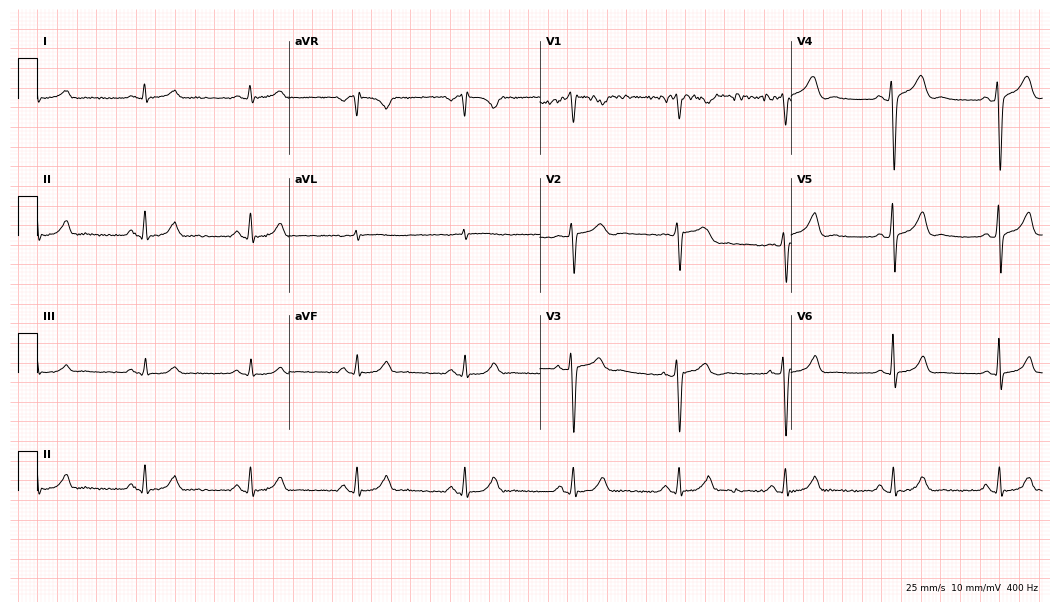
Electrocardiogram (10.2-second recording at 400 Hz), a 38-year-old male. Overall reading on record: normal ECG.